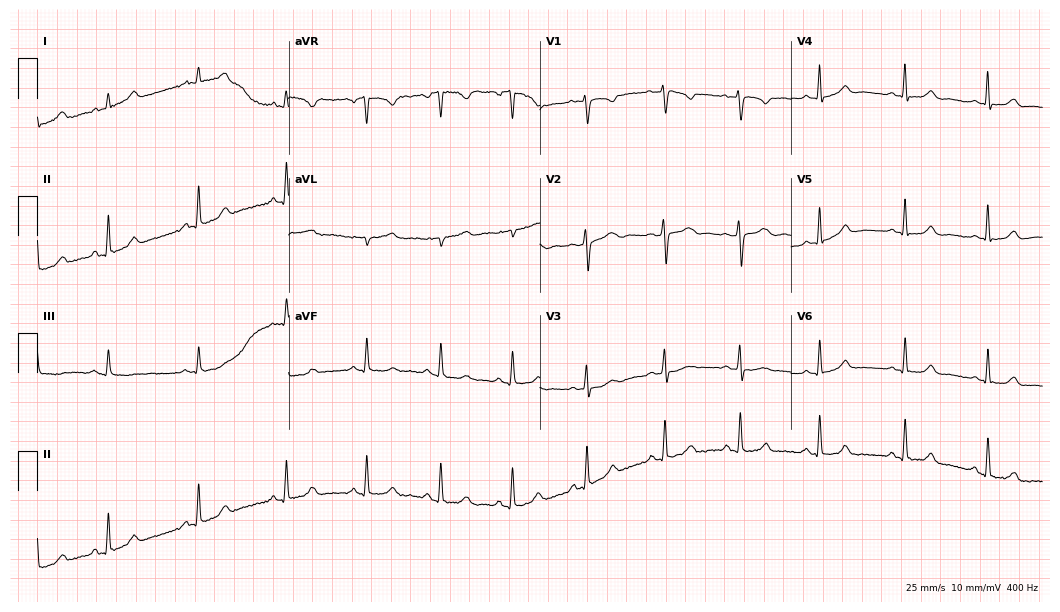
Resting 12-lead electrocardiogram. Patient: a female, 32 years old. Read as a normal ECG.